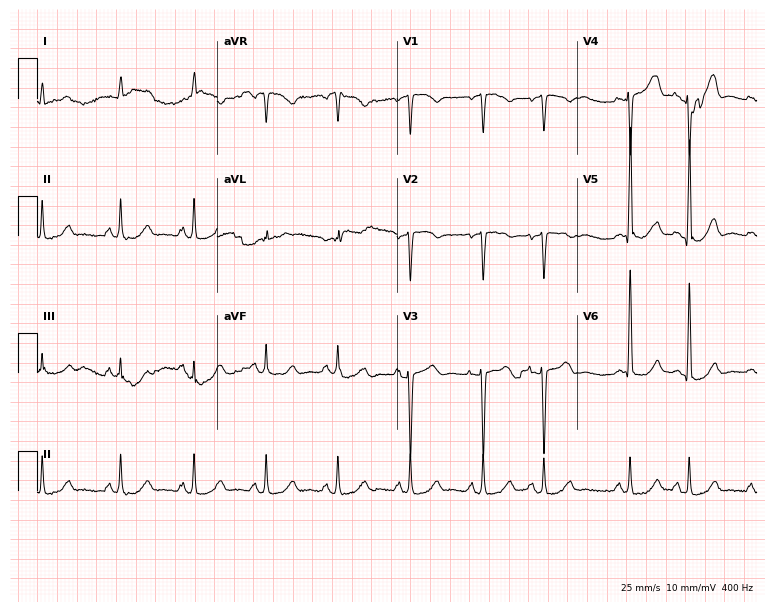
Electrocardiogram, a woman, 79 years old. Of the six screened findings (first-degree AV block, right bundle branch block, left bundle branch block, sinus bradycardia, atrial fibrillation, sinus tachycardia), none is recorded.